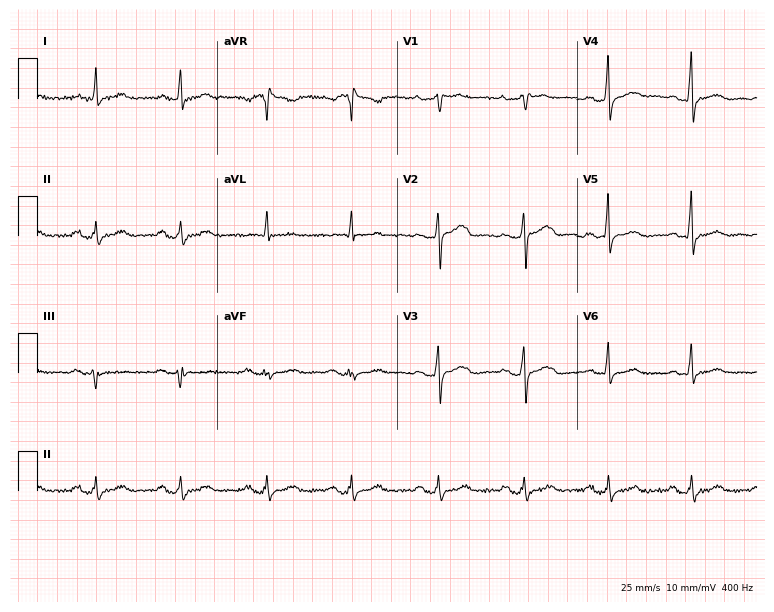
12-lead ECG (7.3-second recording at 400 Hz) from a 66-year-old female patient. Screened for six findings — first-degree AV block, right bundle branch block (RBBB), left bundle branch block (LBBB), sinus bradycardia, atrial fibrillation (AF), sinus tachycardia — none is recorded.